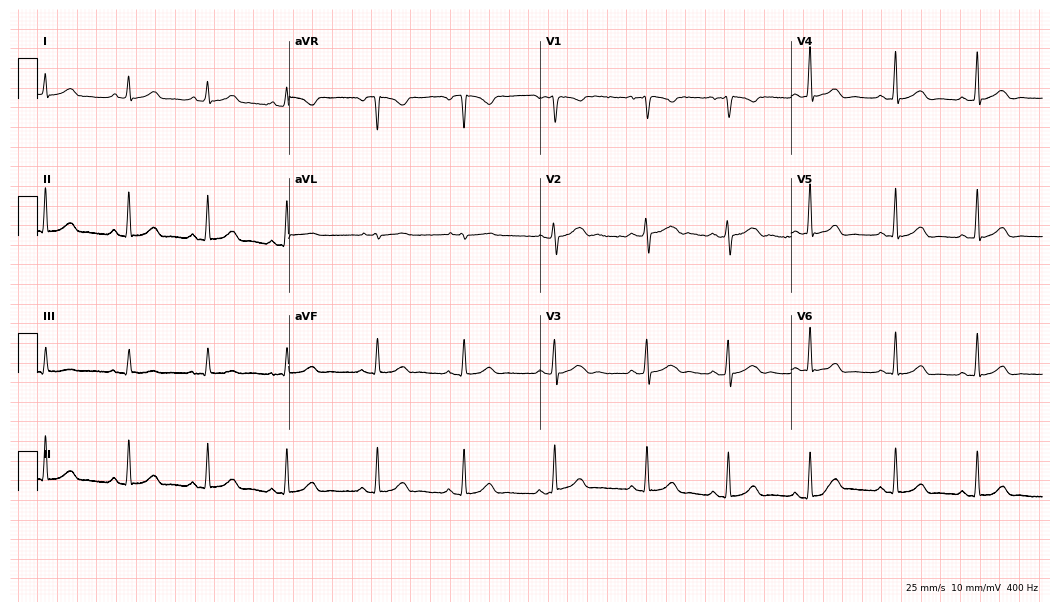
Electrocardiogram (10.2-second recording at 400 Hz), a woman, 37 years old. Overall reading on record: normal ECG.